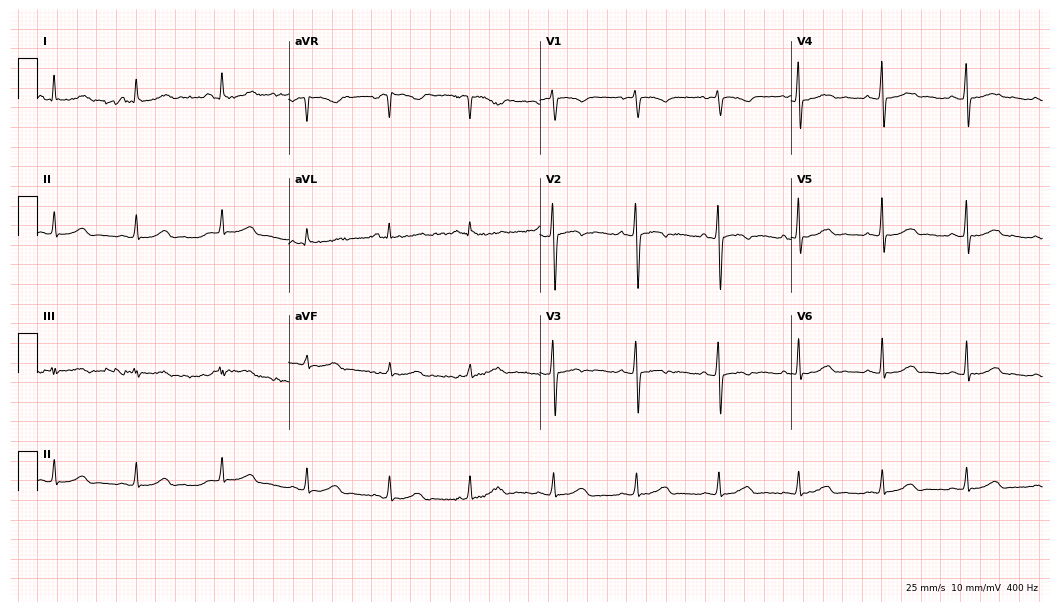
12-lead ECG from a woman, 22 years old (10.2-second recording at 400 Hz). Recorded interpretation: within normal limits.